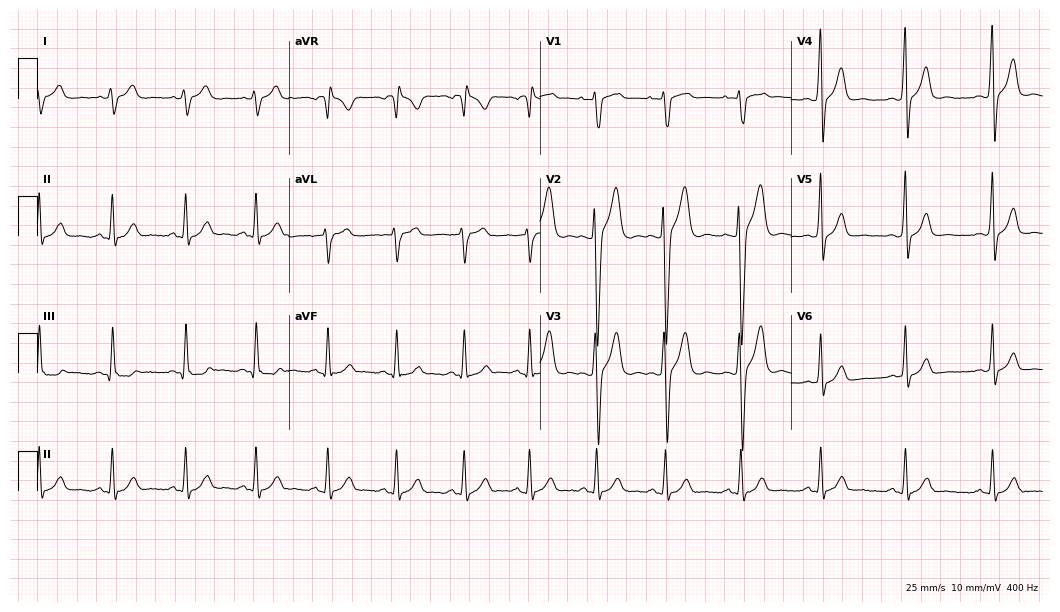
12-lead ECG from a 22-year-old man. Screened for six findings — first-degree AV block, right bundle branch block (RBBB), left bundle branch block (LBBB), sinus bradycardia, atrial fibrillation (AF), sinus tachycardia — none is recorded.